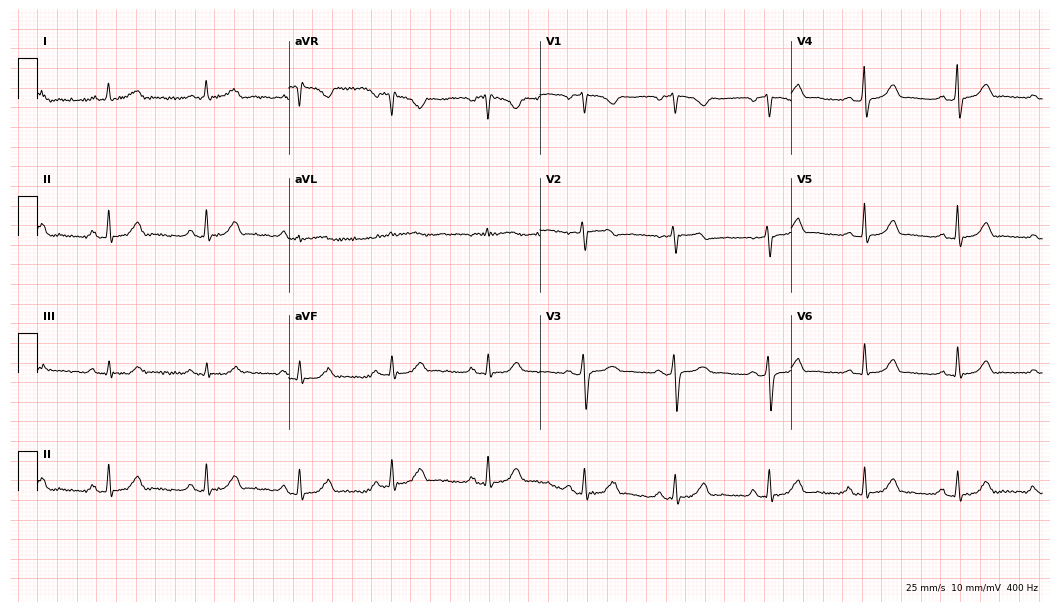
12-lead ECG from a female, 40 years old (10.2-second recording at 400 Hz). Recorded interpretation: within normal limits.